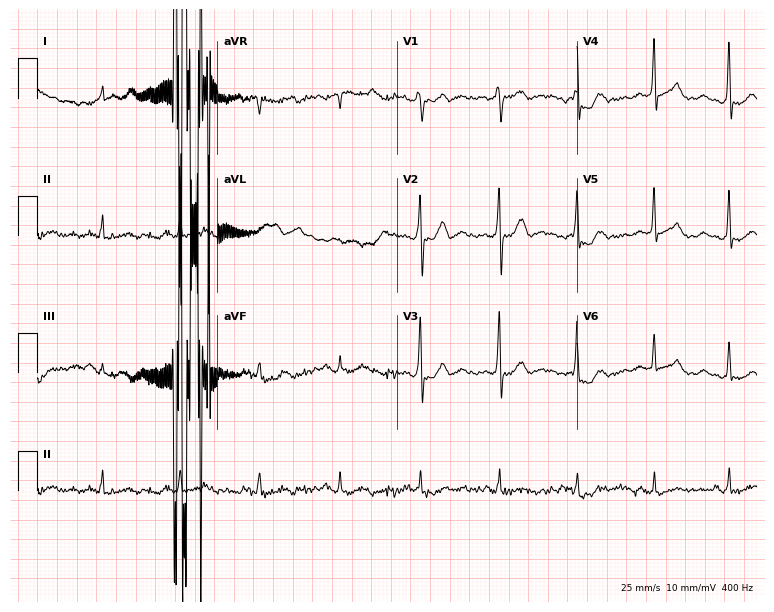
Electrocardiogram, a 50-year-old man. Of the six screened findings (first-degree AV block, right bundle branch block (RBBB), left bundle branch block (LBBB), sinus bradycardia, atrial fibrillation (AF), sinus tachycardia), none is recorded. Findings outside these six are not listed.